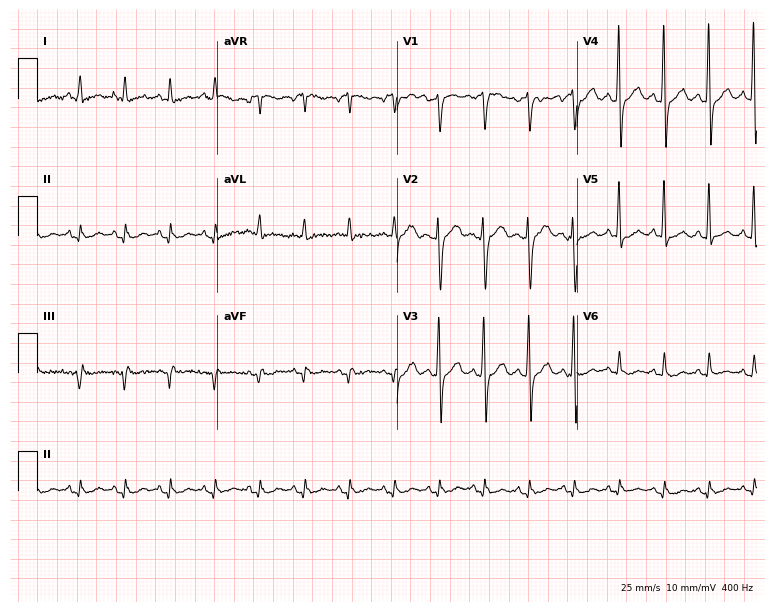
12-lead ECG (7.3-second recording at 400 Hz) from a 79-year-old male. Findings include sinus tachycardia (a sinus rate of 100 beats per minute or more).